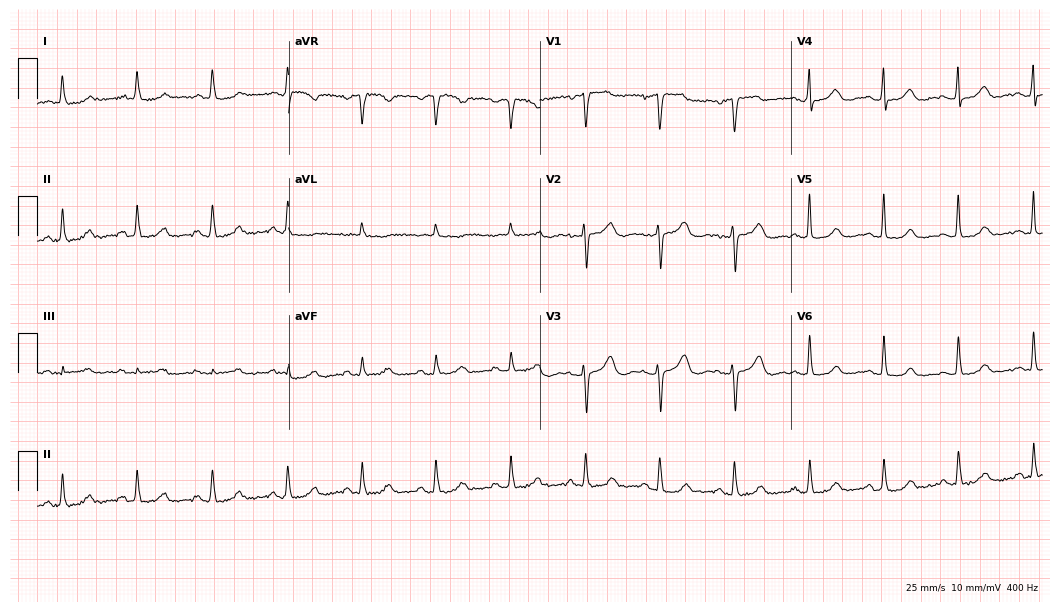
Electrocardiogram (10.2-second recording at 400 Hz), a 78-year-old female. Of the six screened findings (first-degree AV block, right bundle branch block (RBBB), left bundle branch block (LBBB), sinus bradycardia, atrial fibrillation (AF), sinus tachycardia), none is recorded. Findings outside these six are not listed.